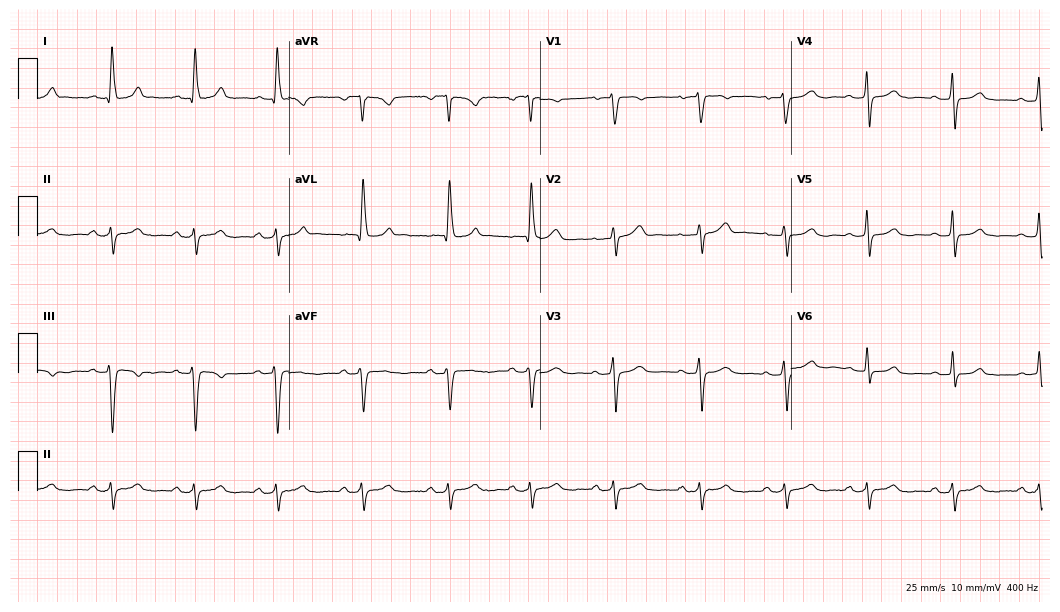
12-lead ECG from a 72-year-old female (10.2-second recording at 400 Hz). No first-degree AV block, right bundle branch block, left bundle branch block, sinus bradycardia, atrial fibrillation or sinus tachycardia recorded for this tracing. Only these six findings were labelled.